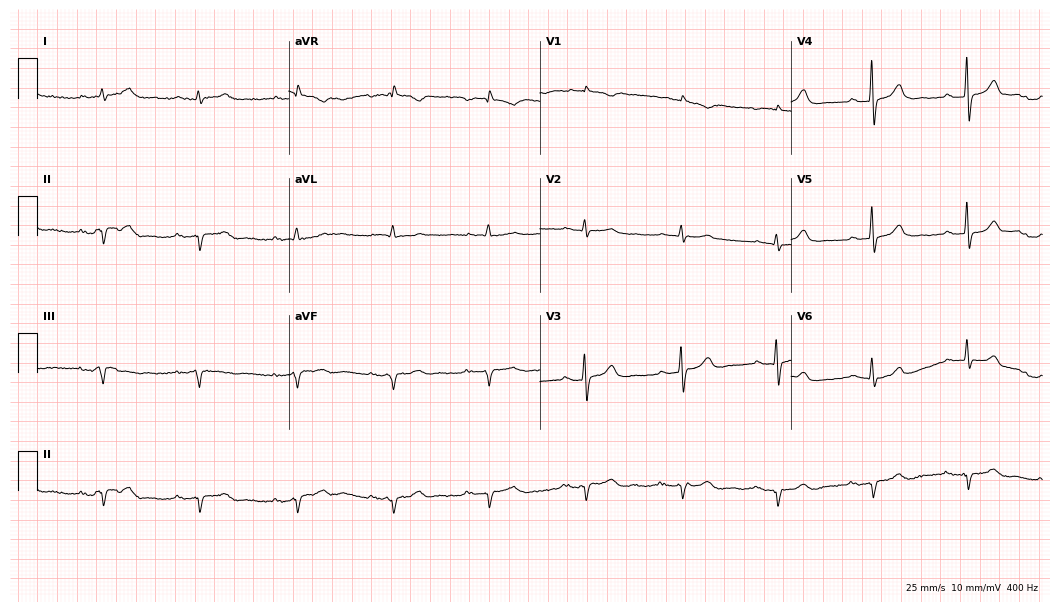
ECG (10.2-second recording at 400 Hz) — a male patient, 69 years old. Screened for six findings — first-degree AV block, right bundle branch block (RBBB), left bundle branch block (LBBB), sinus bradycardia, atrial fibrillation (AF), sinus tachycardia — none is recorded.